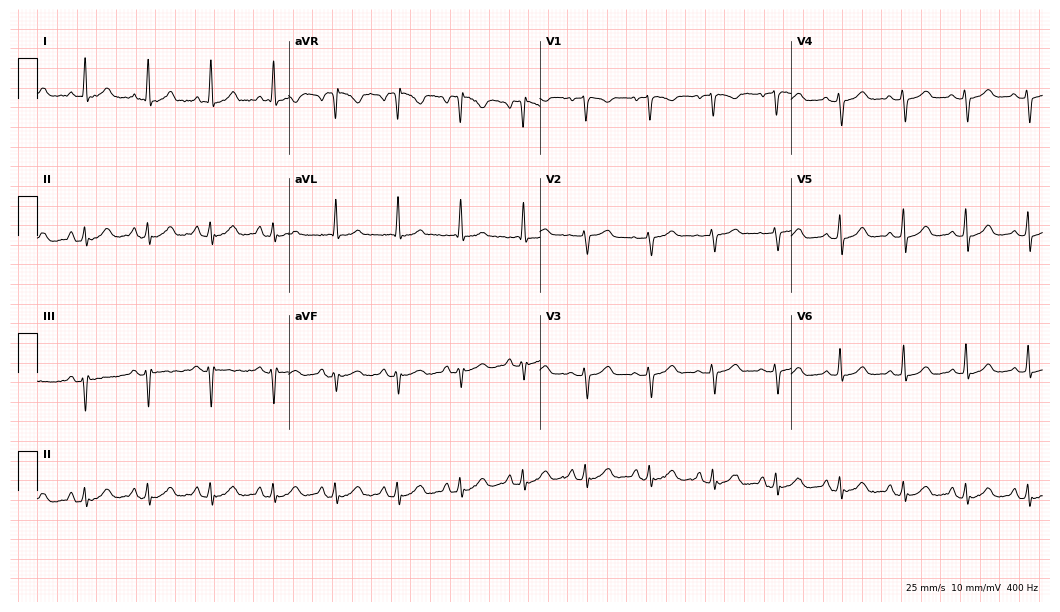
Electrocardiogram, a female, 48 years old. Overall reading on record: normal ECG.